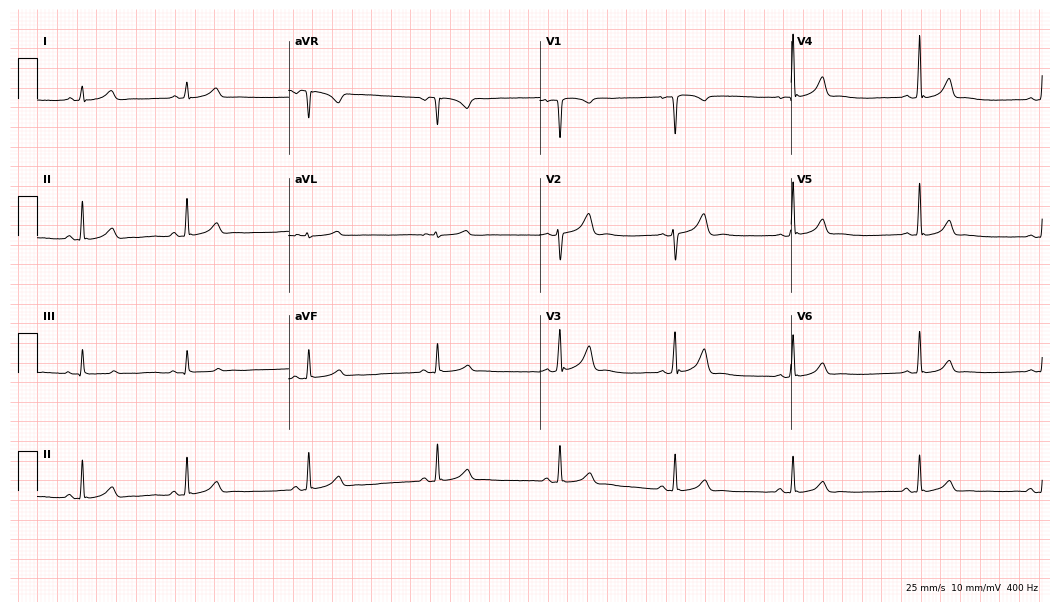
12-lead ECG from a 21-year-old female (10.2-second recording at 400 Hz). Shows sinus bradycardia (a sinus rate of 50 beats per minute or less).